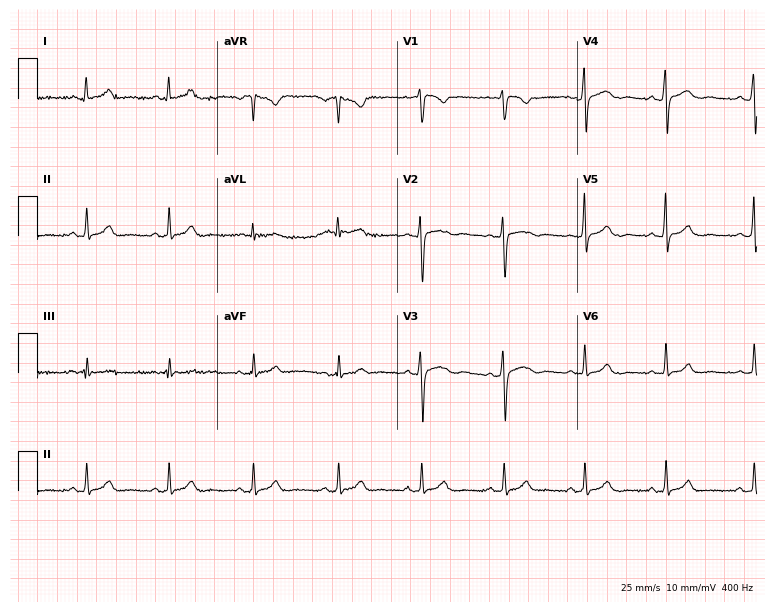
12-lead ECG from a female, 23 years old (7.3-second recording at 400 Hz). No first-degree AV block, right bundle branch block, left bundle branch block, sinus bradycardia, atrial fibrillation or sinus tachycardia recorded for this tracing. Other findings, if any, are not listed.